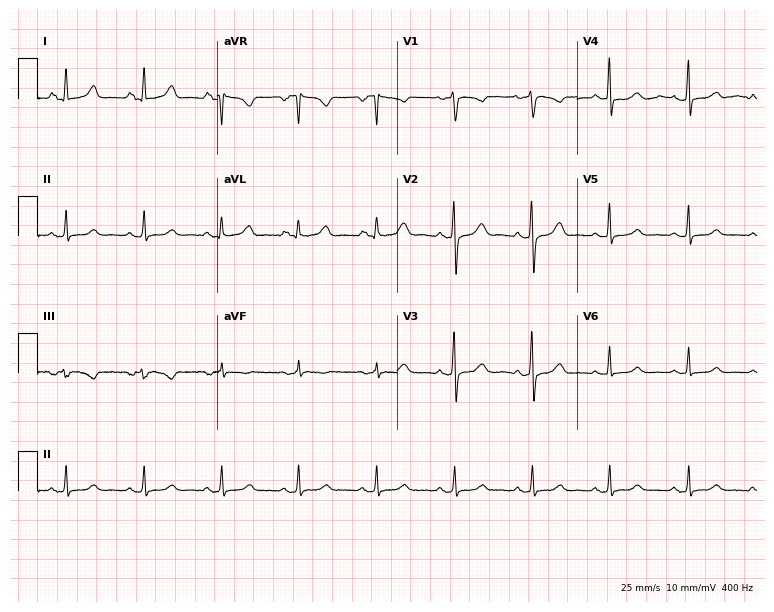
12-lead ECG from a woman, 57 years old. Labelled as a normal ECG.